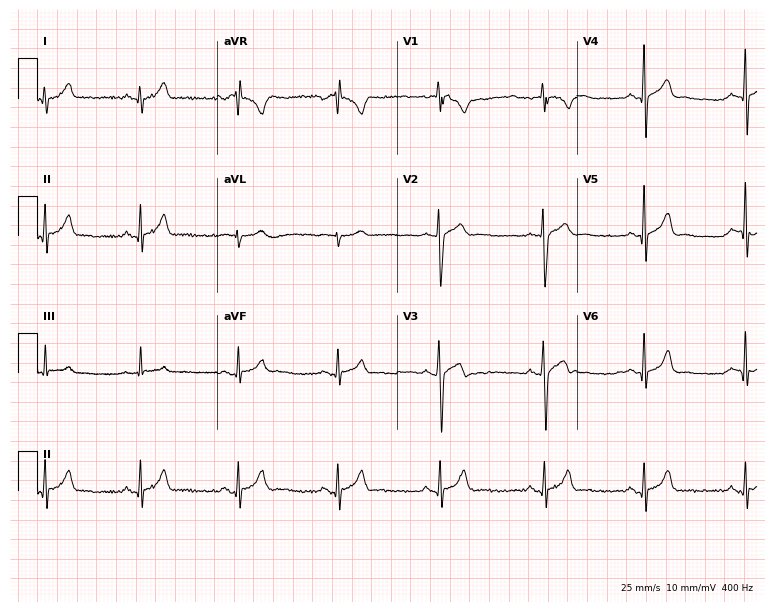
12-lead ECG from a male, 26 years old. Screened for six findings — first-degree AV block, right bundle branch block, left bundle branch block, sinus bradycardia, atrial fibrillation, sinus tachycardia — none is recorded.